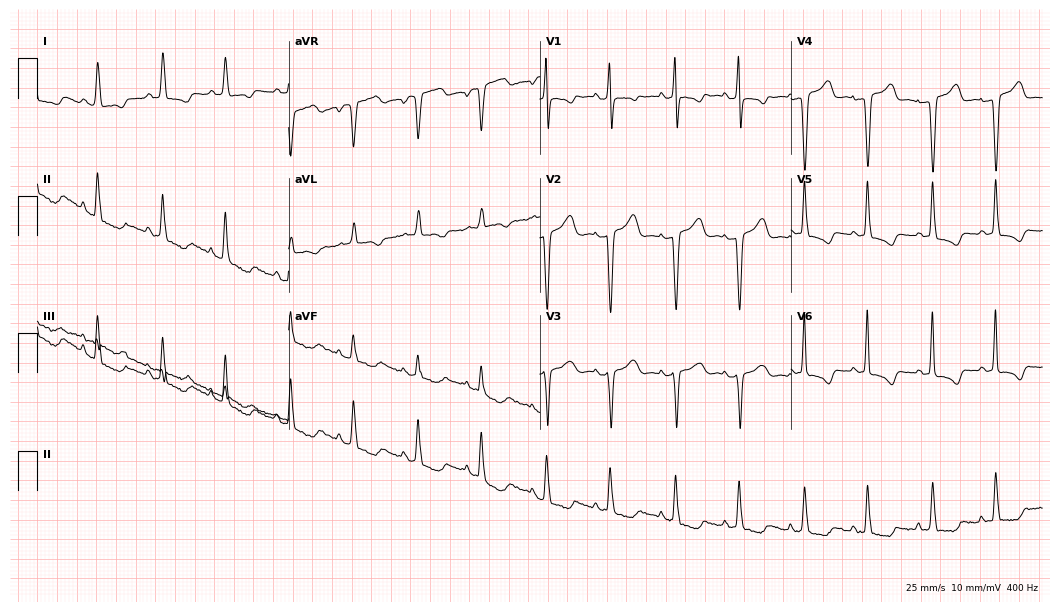
Standard 12-lead ECG recorded from a female patient, 77 years old (10.2-second recording at 400 Hz). None of these six findings is recorded: first-degree AV block, right bundle branch block, left bundle branch block, sinus bradycardia, atrial fibrillation, sinus tachycardia. Only these six findings were labelled.